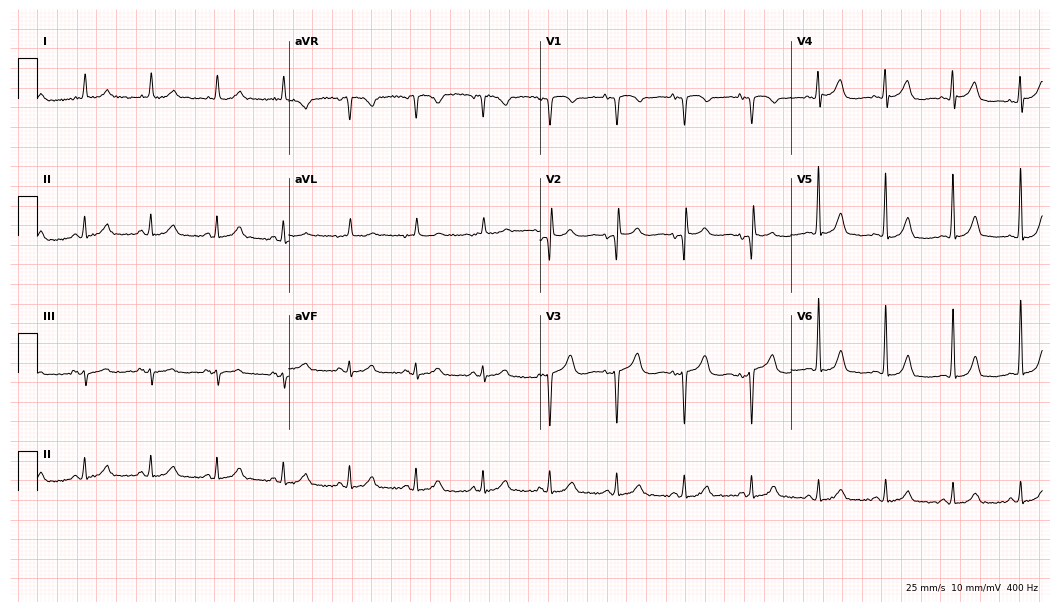
Standard 12-lead ECG recorded from a female, 78 years old. Read as a normal ECG.